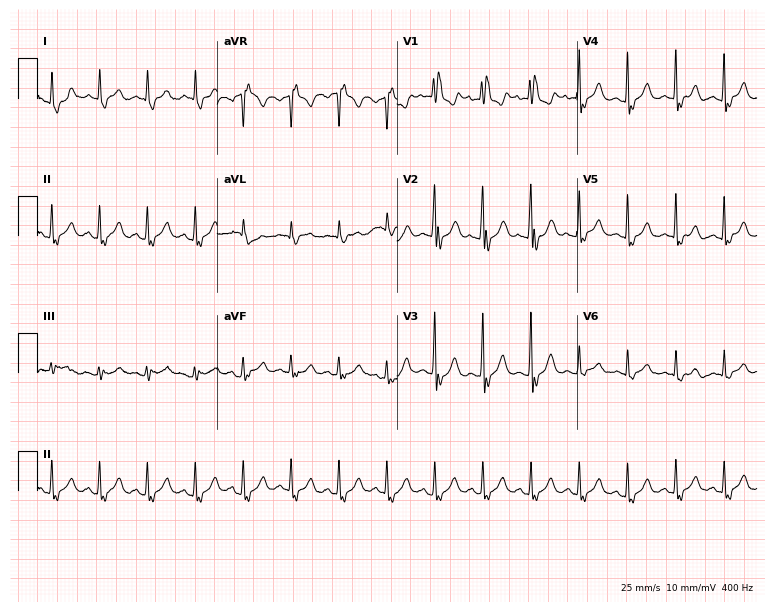
Resting 12-lead electrocardiogram (7.3-second recording at 400 Hz). Patient: a female, 54 years old. The tracing shows right bundle branch block, sinus tachycardia (a sinus rate of 100 beats per minute or more).